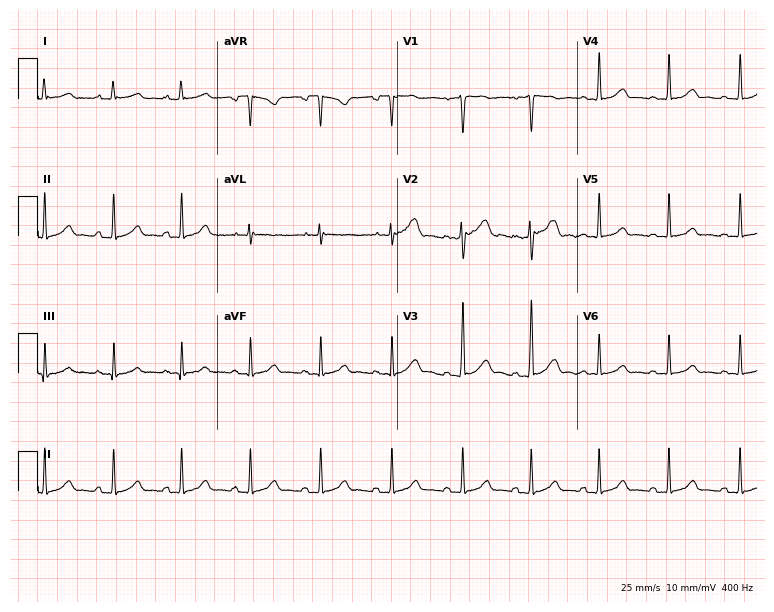
Standard 12-lead ECG recorded from a woman, 30 years old (7.3-second recording at 400 Hz). Read as a normal ECG.